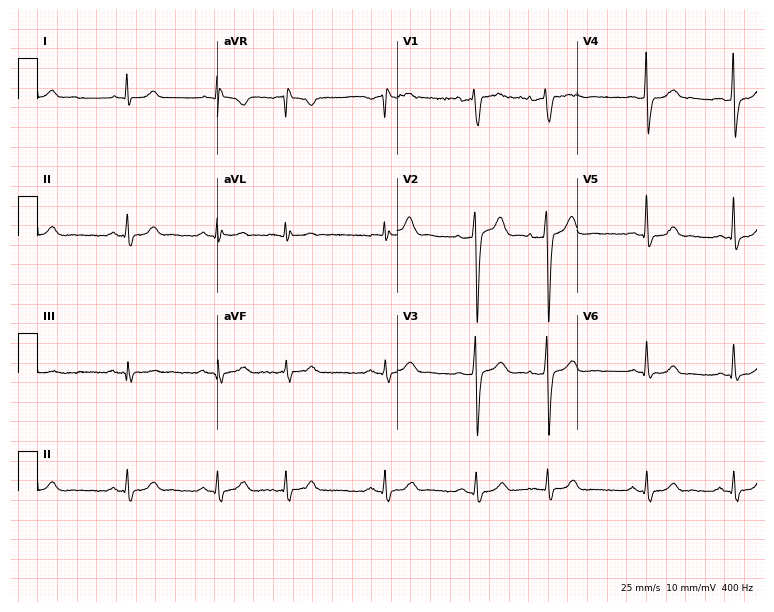
ECG — a male, 31 years old. Labelled as a normal ECG.